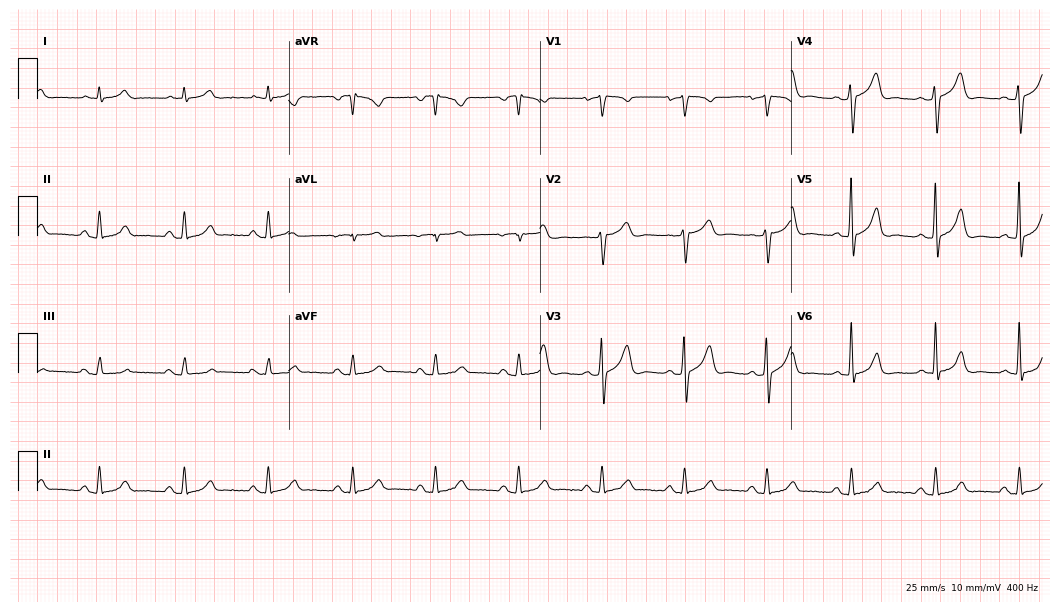
Electrocardiogram (10.2-second recording at 400 Hz), a male, 58 years old. Overall reading on record: normal ECG.